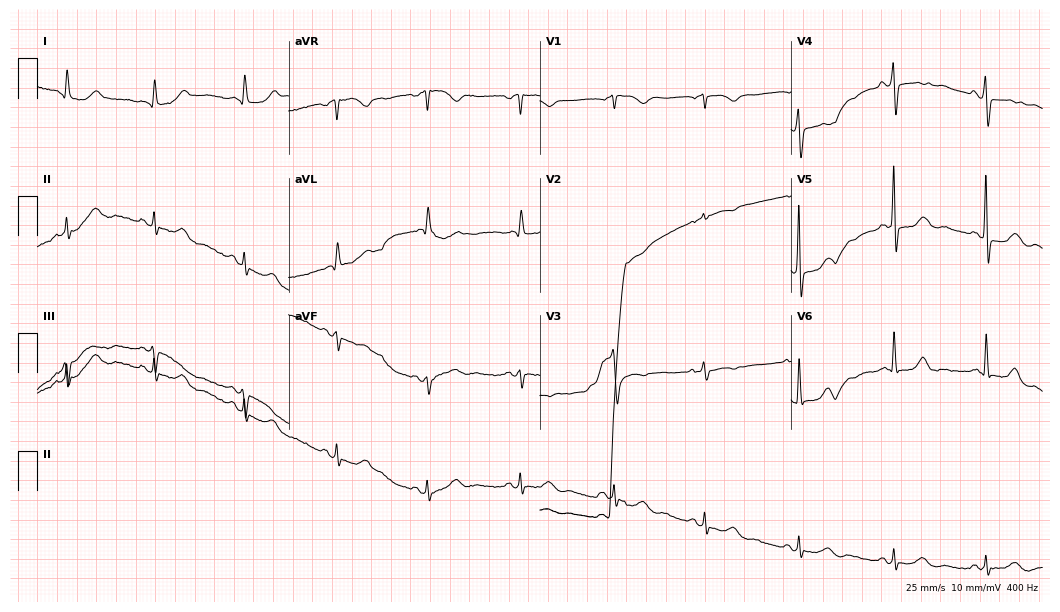
12-lead ECG (10.2-second recording at 400 Hz) from a female, 59 years old. Labelled as a normal ECG.